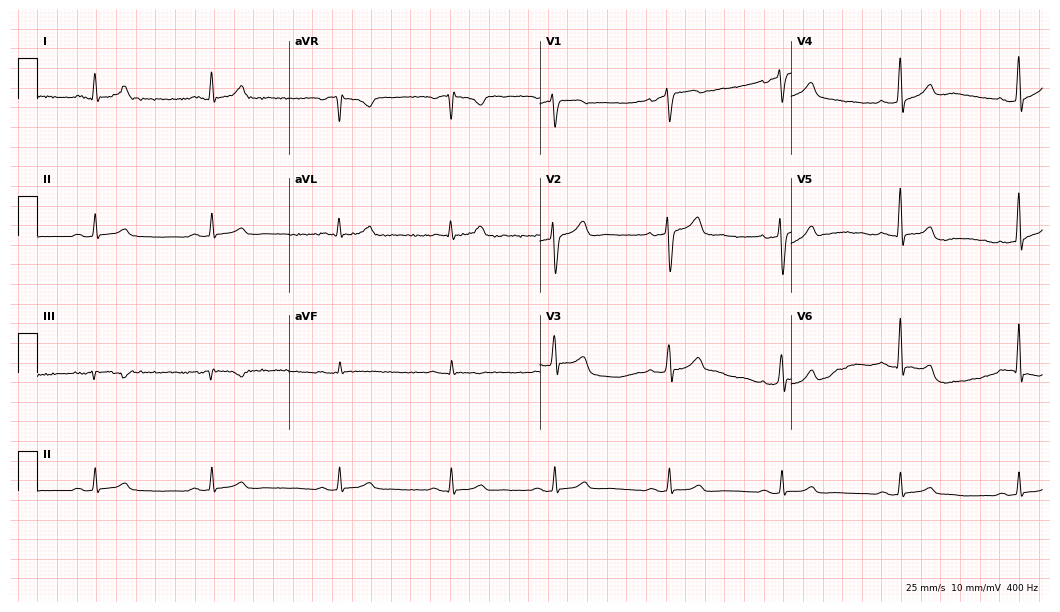
Resting 12-lead electrocardiogram. Patient: a male, 44 years old. None of these six findings is recorded: first-degree AV block, right bundle branch block (RBBB), left bundle branch block (LBBB), sinus bradycardia, atrial fibrillation (AF), sinus tachycardia. Only these six findings were labelled.